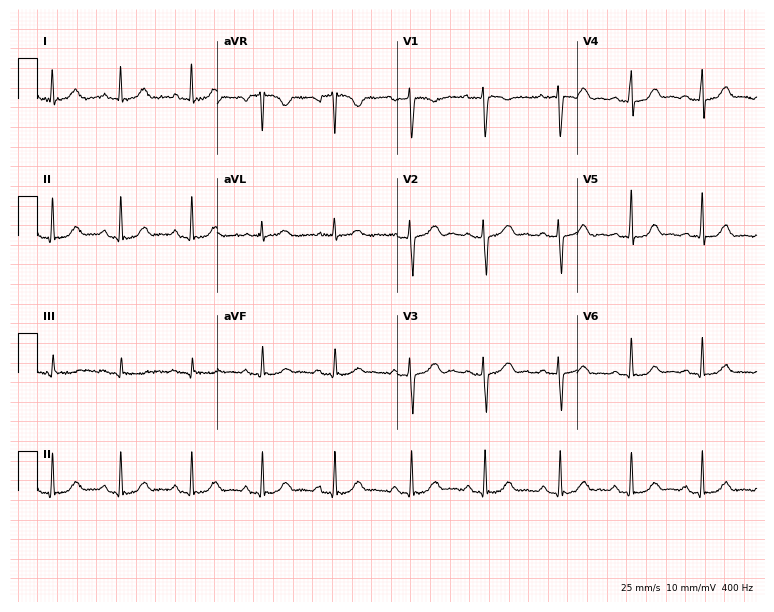
Resting 12-lead electrocardiogram (7.3-second recording at 400 Hz). Patient: a 36-year-old female. Read as a normal ECG.